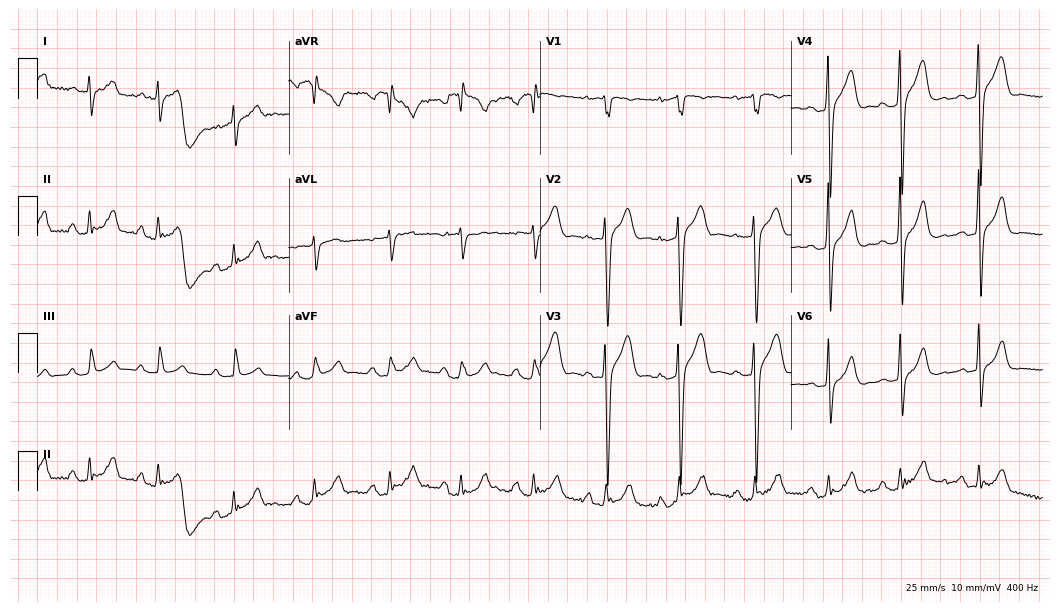
Resting 12-lead electrocardiogram. Patient: a 25-year-old male. Read as a normal ECG.